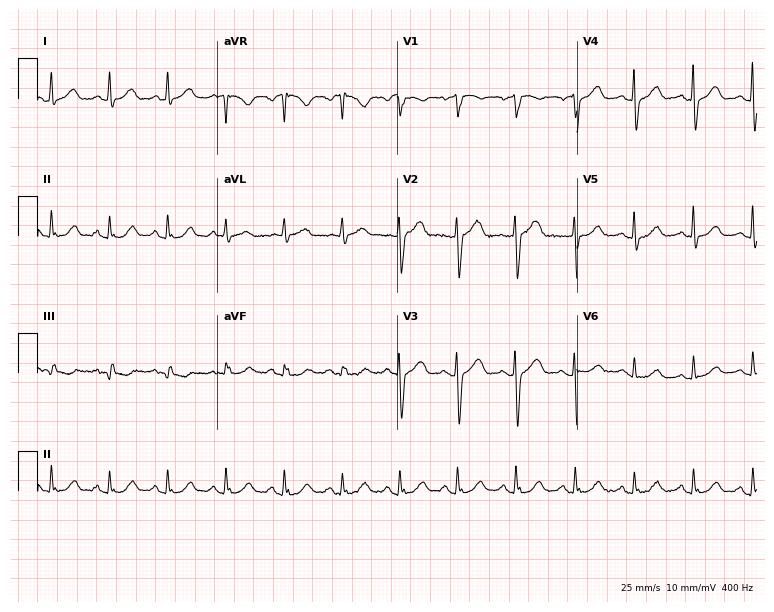
Resting 12-lead electrocardiogram (7.3-second recording at 400 Hz). Patient: a 53-year-old woman. Read as a normal ECG.